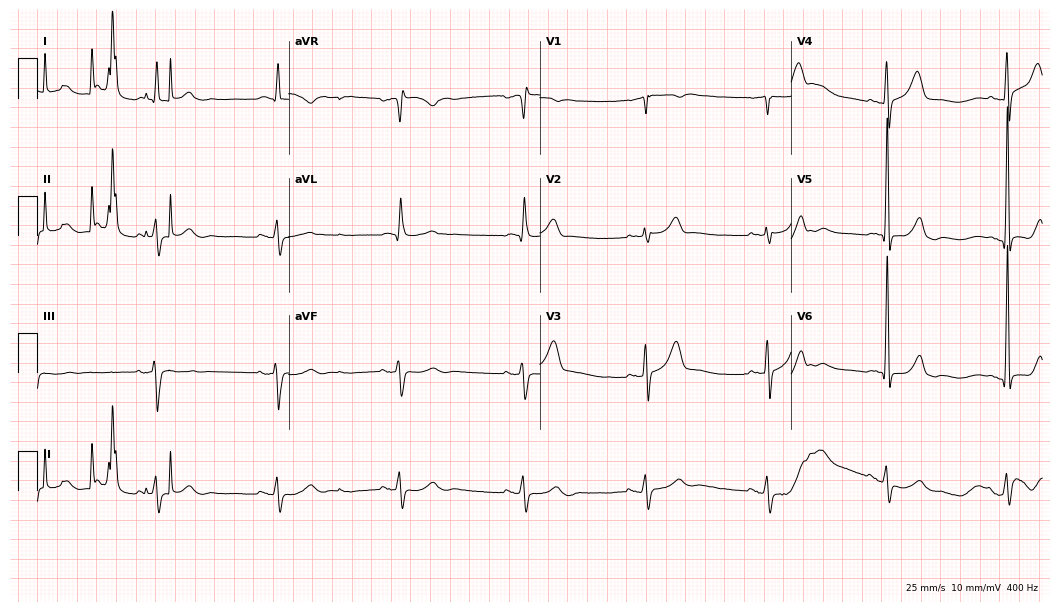
ECG (10.2-second recording at 400 Hz) — a male, 82 years old. Findings include sinus bradycardia (a sinus rate of 50 beats per minute or less).